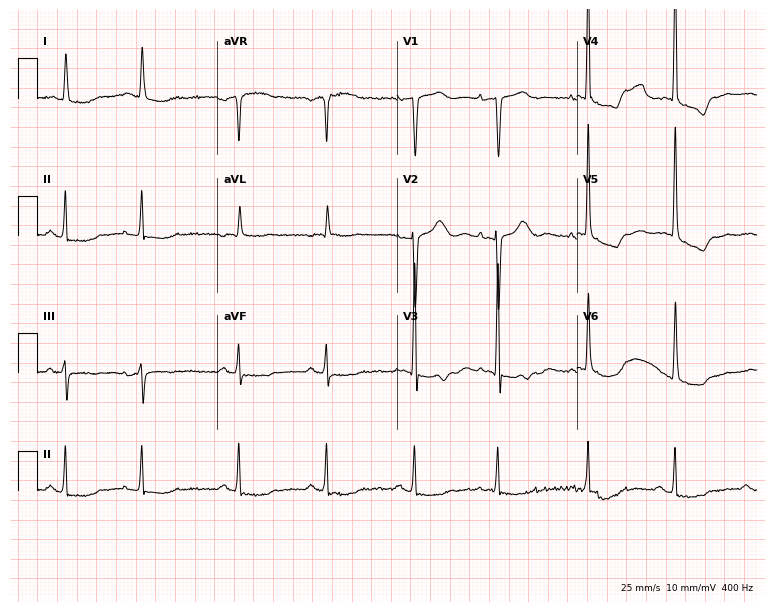
Electrocardiogram, a woman, 69 years old. Of the six screened findings (first-degree AV block, right bundle branch block, left bundle branch block, sinus bradycardia, atrial fibrillation, sinus tachycardia), none is recorded.